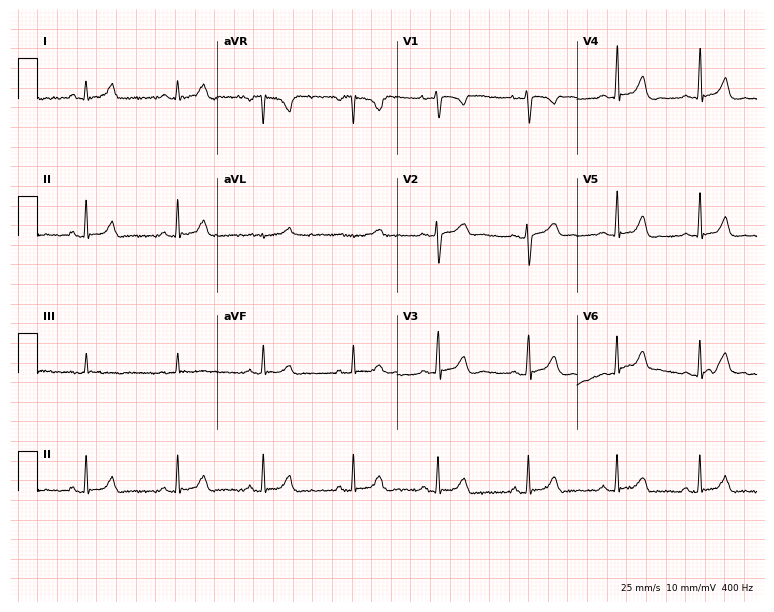
ECG (7.3-second recording at 400 Hz) — an 18-year-old female. Labelled as a normal ECG.